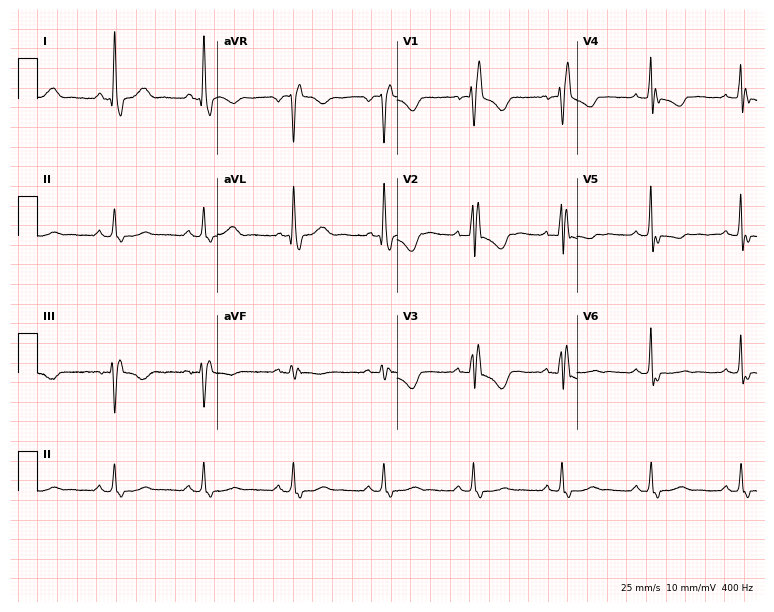
Electrocardiogram, a 65-year-old female patient. Interpretation includes right bundle branch block.